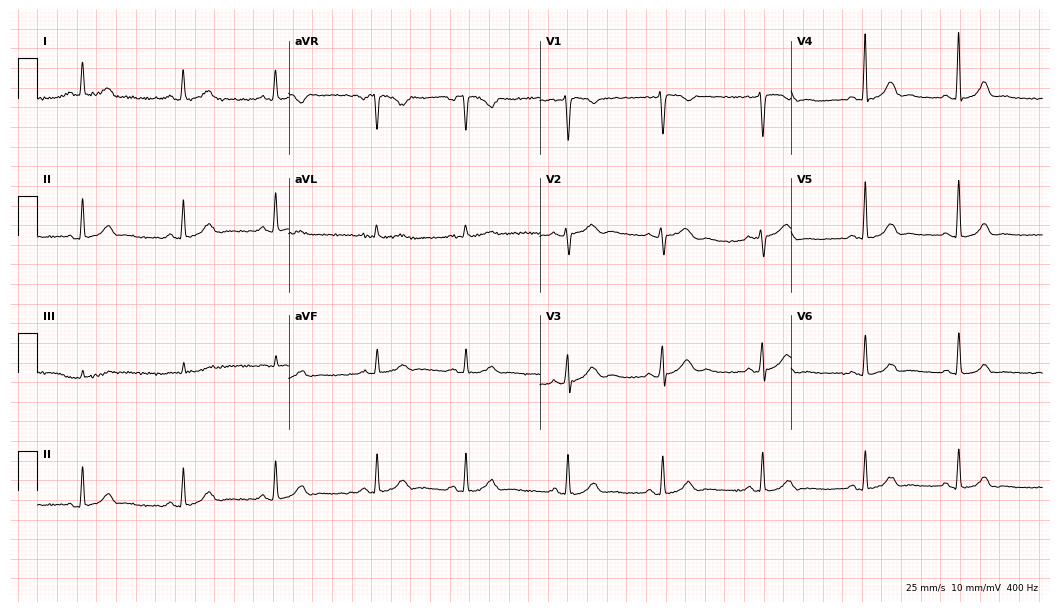
12-lead ECG (10.2-second recording at 400 Hz) from a woman, 35 years old. Screened for six findings — first-degree AV block, right bundle branch block (RBBB), left bundle branch block (LBBB), sinus bradycardia, atrial fibrillation (AF), sinus tachycardia — none is recorded.